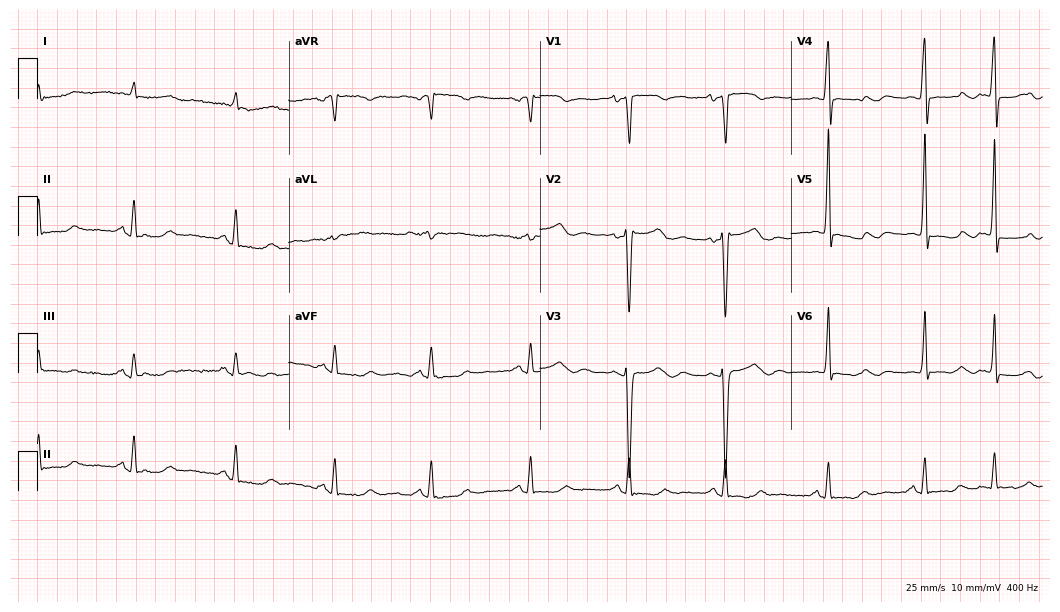
Electrocardiogram, a female patient, 77 years old. Of the six screened findings (first-degree AV block, right bundle branch block, left bundle branch block, sinus bradycardia, atrial fibrillation, sinus tachycardia), none is recorded. Only these six findings were labelled.